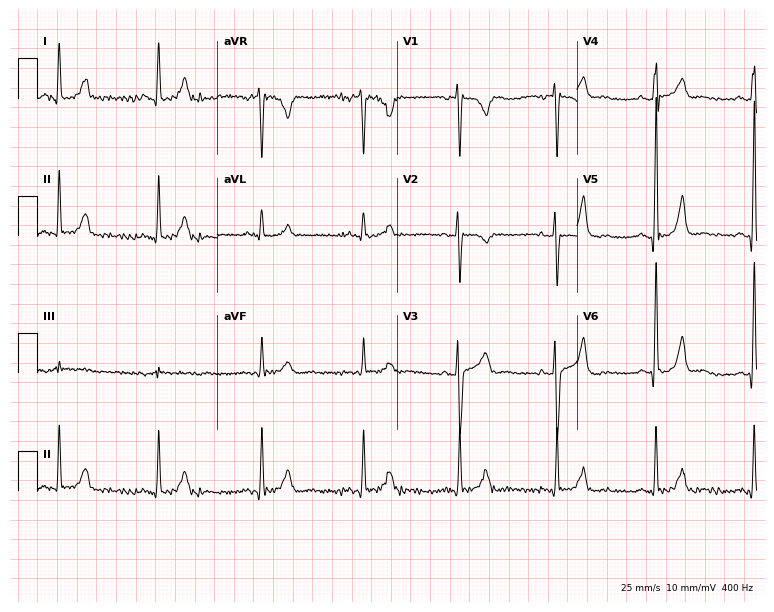
Standard 12-lead ECG recorded from a 35-year-old woman (7.3-second recording at 400 Hz). Read as a normal ECG.